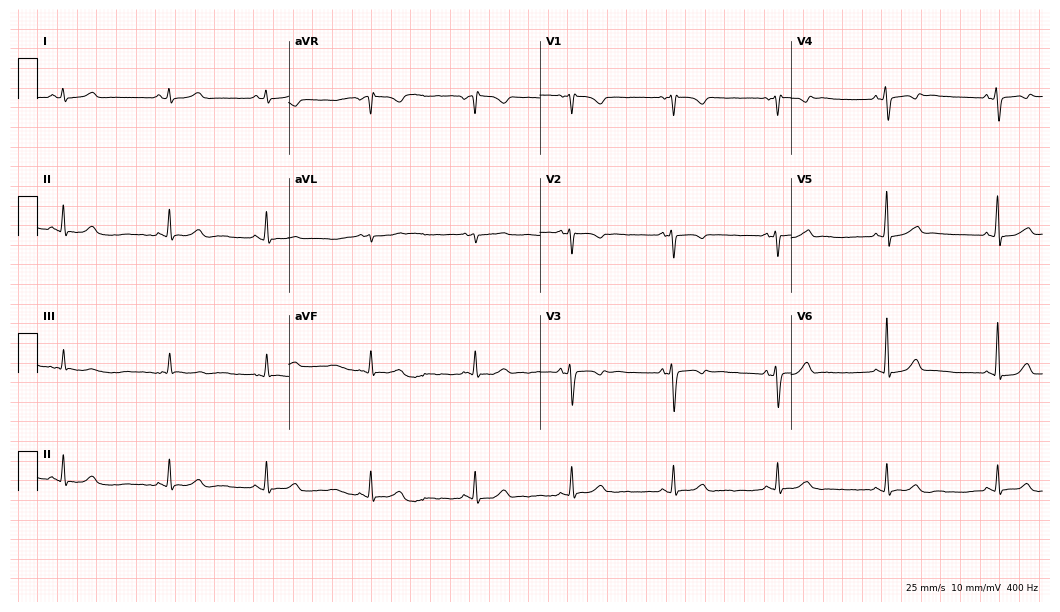
Electrocardiogram, a 42-year-old female patient. Of the six screened findings (first-degree AV block, right bundle branch block, left bundle branch block, sinus bradycardia, atrial fibrillation, sinus tachycardia), none is recorded.